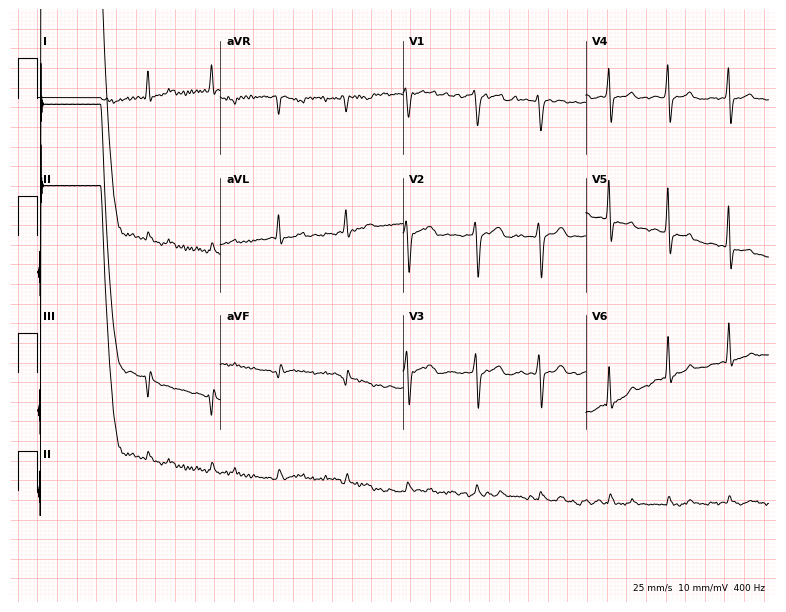
ECG (7.5-second recording at 400 Hz) — a 55-year-old male. Findings include atrial fibrillation (AF).